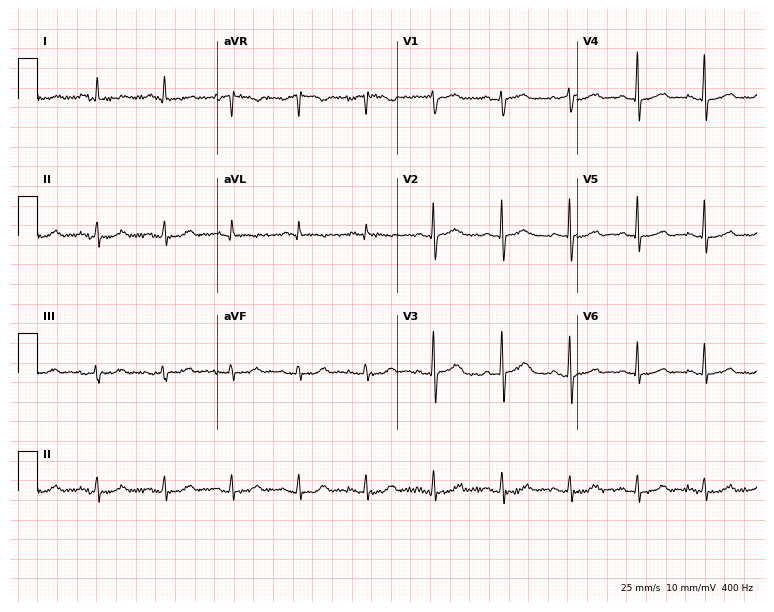
ECG — a 63-year-old female patient. Screened for six findings — first-degree AV block, right bundle branch block (RBBB), left bundle branch block (LBBB), sinus bradycardia, atrial fibrillation (AF), sinus tachycardia — none is recorded.